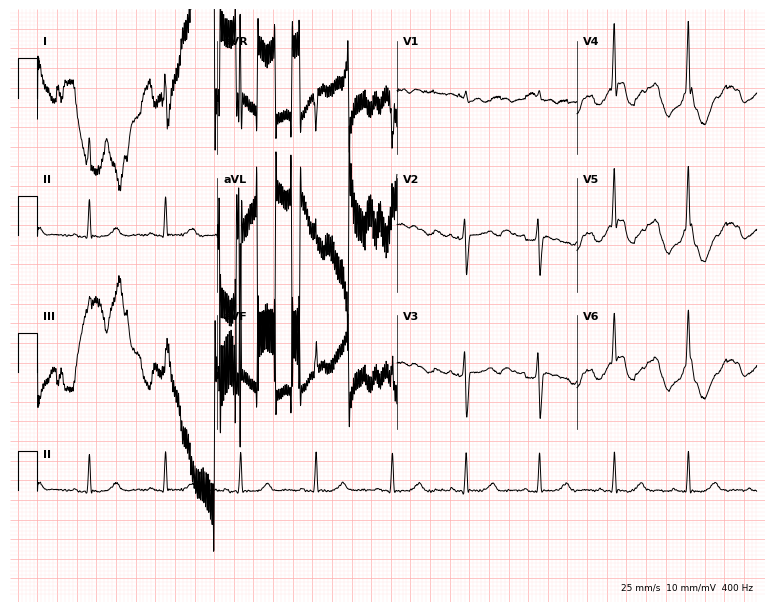
ECG — a 45-year-old female patient. Screened for six findings — first-degree AV block, right bundle branch block (RBBB), left bundle branch block (LBBB), sinus bradycardia, atrial fibrillation (AF), sinus tachycardia — none is recorded.